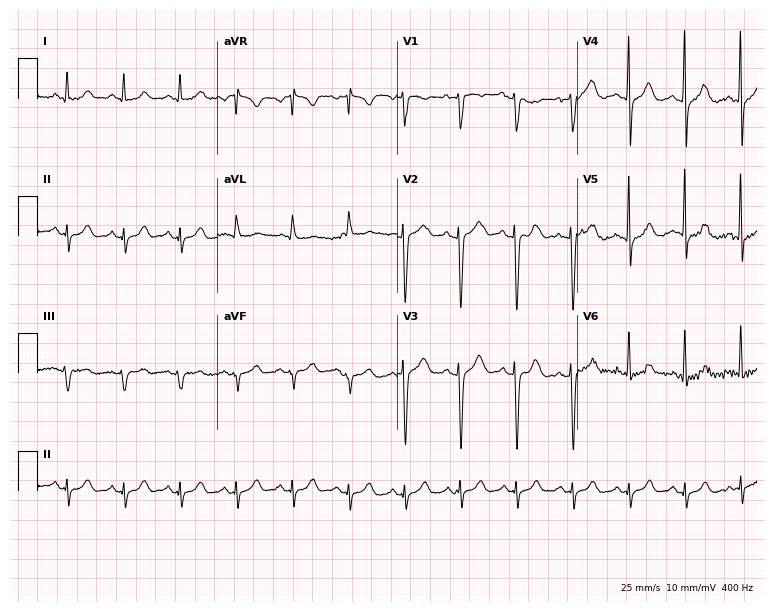
12-lead ECG from a 62-year-old female. Shows sinus tachycardia (a sinus rate of 100 beats per minute or more).